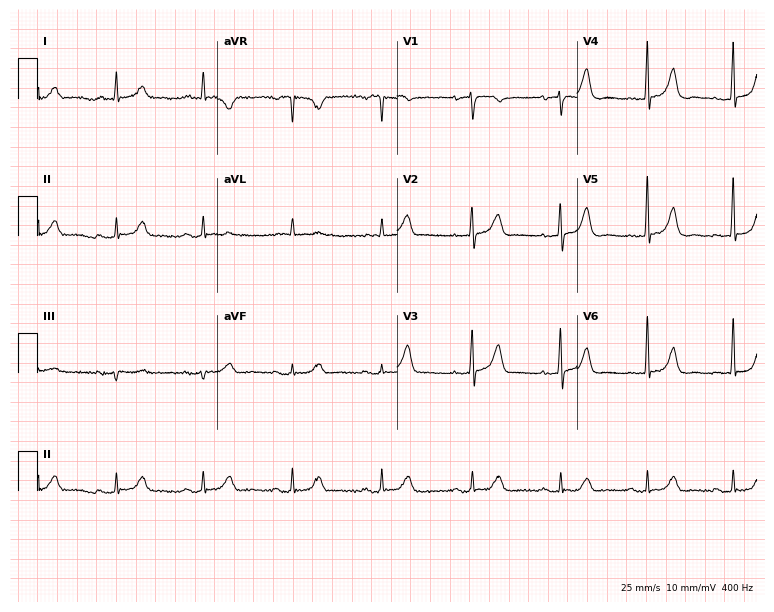
Resting 12-lead electrocardiogram (7.3-second recording at 400 Hz). Patient: a 69-year-old woman. Read as a normal ECG.